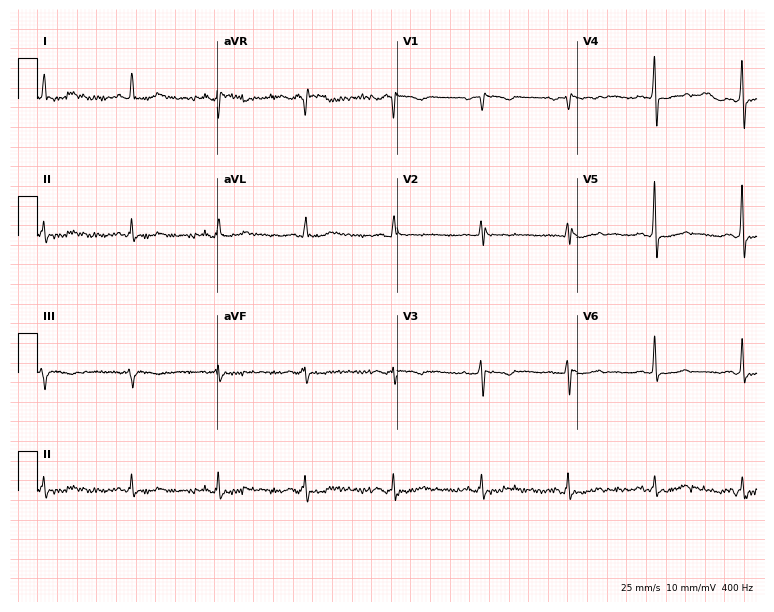
12-lead ECG (7.3-second recording at 400 Hz) from a woman, 61 years old. Screened for six findings — first-degree AV block, right bundle branch block, left bundle branch block, sinus bradycardia, atrial fibrillation, sinus tachycardia — none is recorded. Other findings, if any, are not listed.